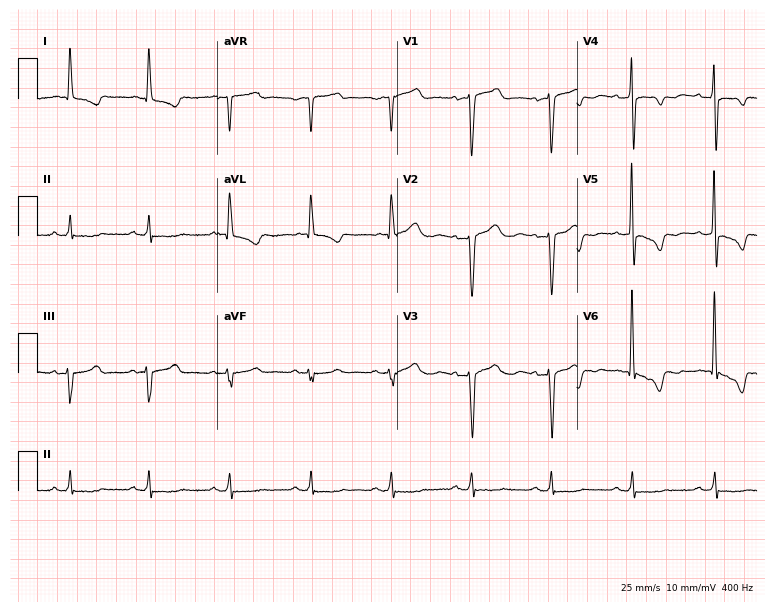
Standard 12-lead ECG recorded from a female patient, 72 years old. Read as a normal ECG.